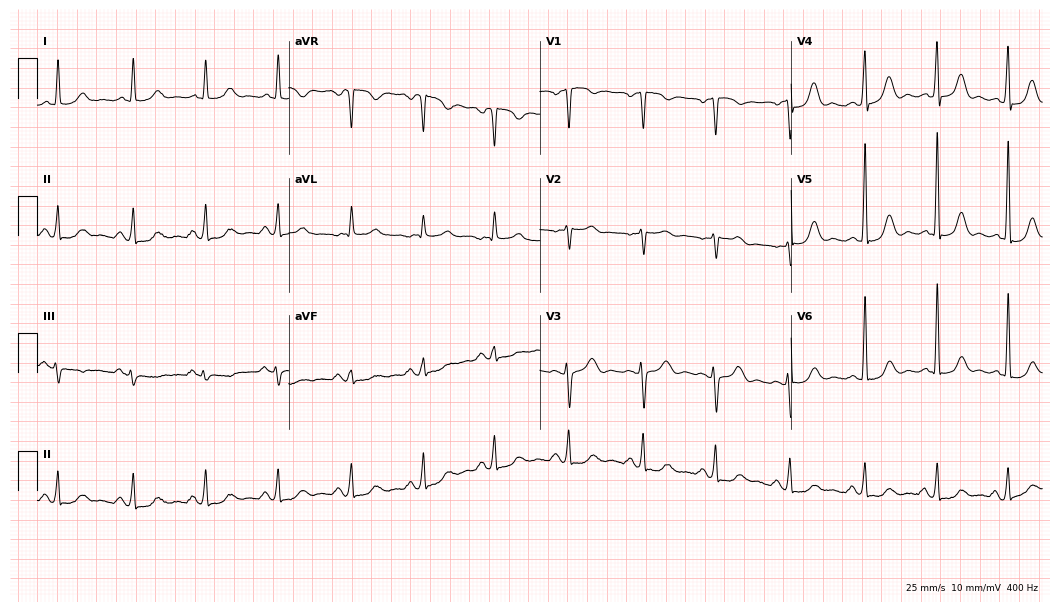
12-lead ECG from a 65-year-old female. Screened for six findings — first-degree AV block, right bundle branch block, left bundle branch block, sinus bradycardia, atrial fibrillation, sinus tachycardia — none is recorded. Other findings, if any, are not listed.